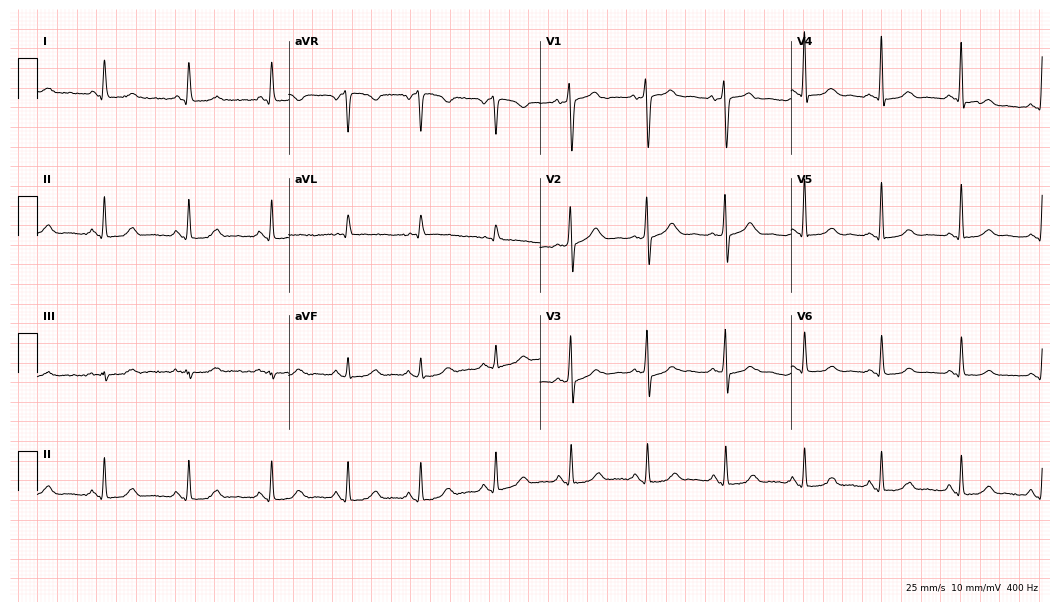
ECG (10.2-second recording at 400 Hz) — a 49-year-old woman. Screened for six findings — first-degree AV block, right bundle branch block (RBBB), left bundle branch block (LBBB), sinus bradycardia, atrial fibrillation (AF), sinus tachycardia — none is recorded.